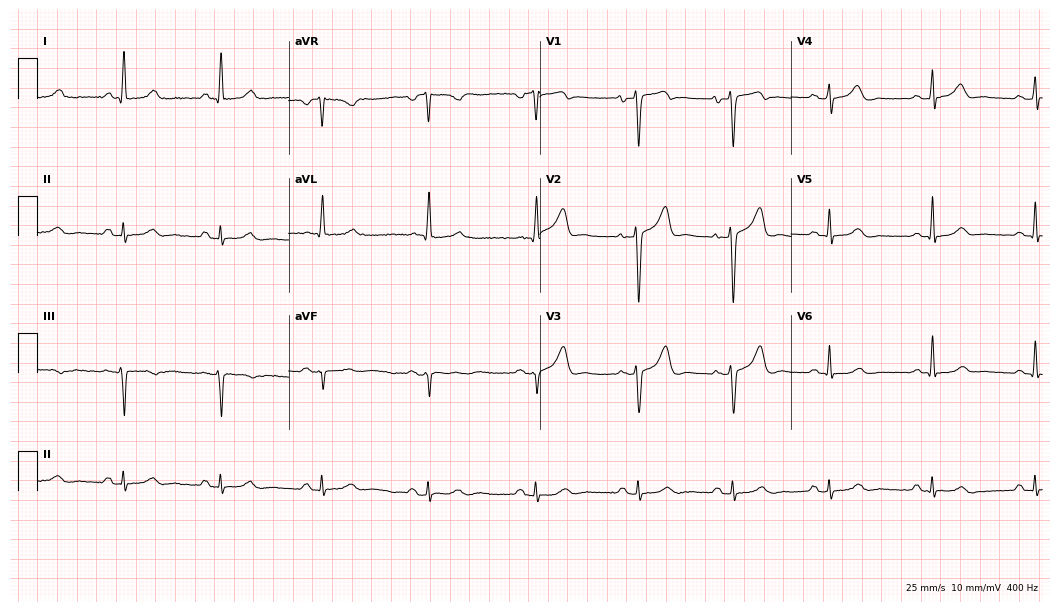
Electrocardiogram, a 43-year-old male. Of the six screened findings (first-degree AV block, right bundle branch block, left bundle branch block, sinus bradycardia, atrial fibrillation, sinus tachycardia), none is recorded. Findings outside these six are not listed.